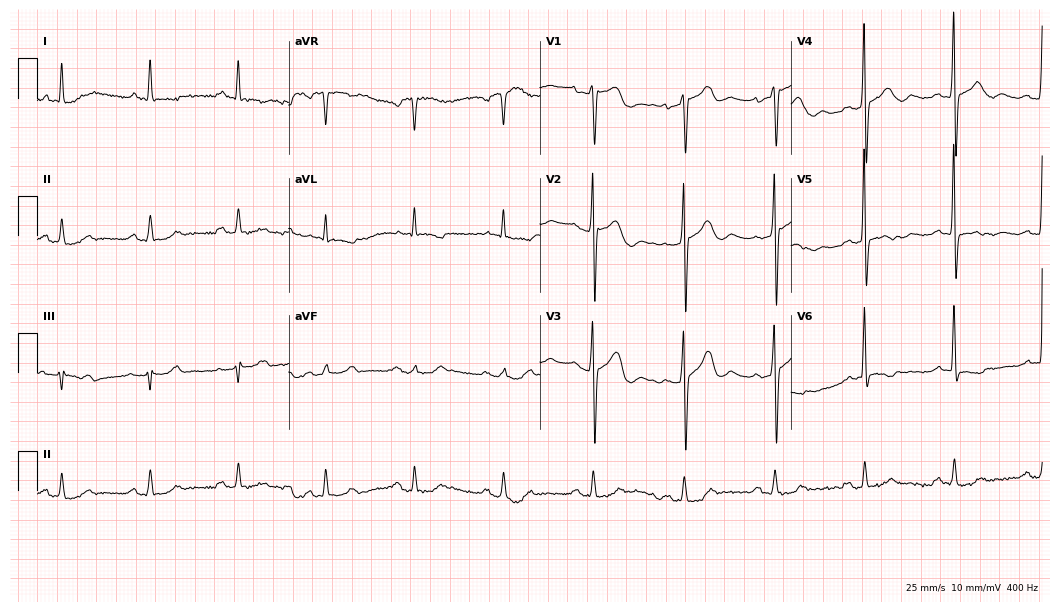
Resting 12-lead electrocardiogram (10.2-second recording at 400 Hz). Patient: a man, 80 years old. None of these six findings is recorded: first-degree AV block, right bundle branch block, left bundle branch block, sinus bradycardia, atrial fibrillation, sinus tachycardia.